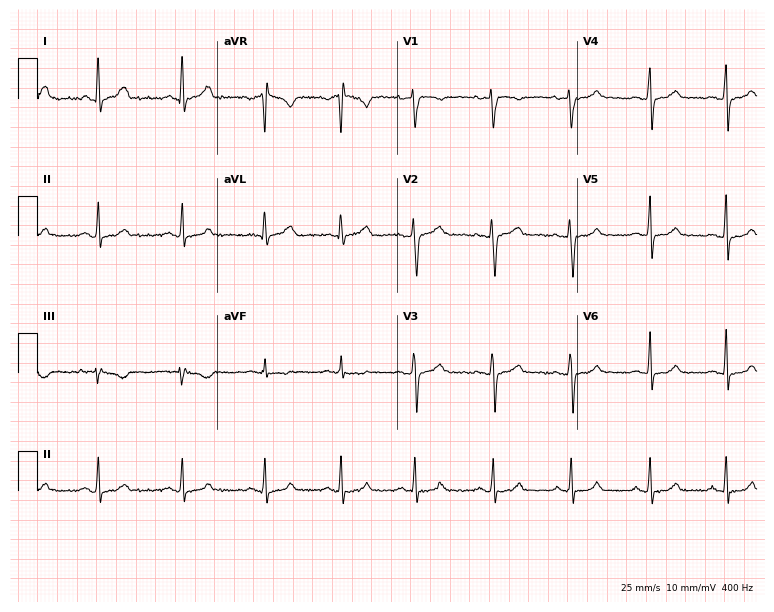
12-lead ECG (7.3-second recording at 400 Hz) from a 26-year-old female. Labelled as a normal ECG.